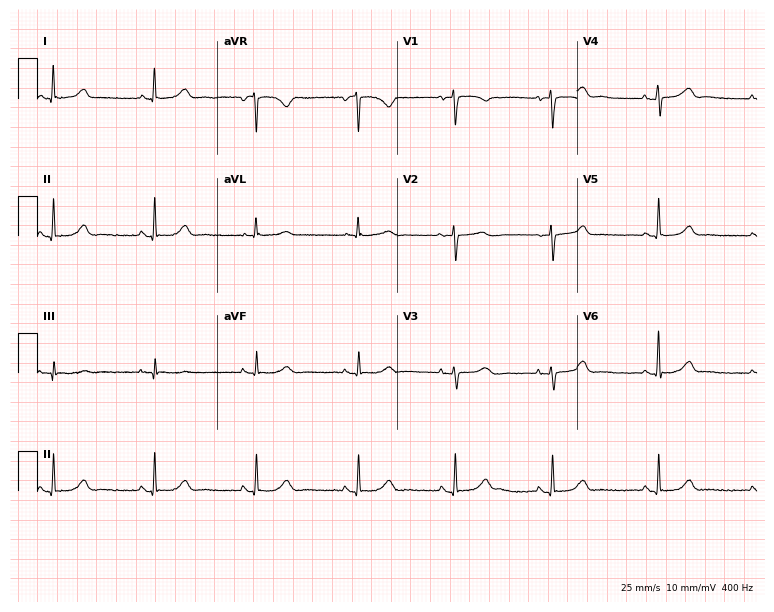
Standard 12-lead ECG recorded from a female patient, 69 years old (7.3-second recording at 400 Hz). Read as a normal ECG.